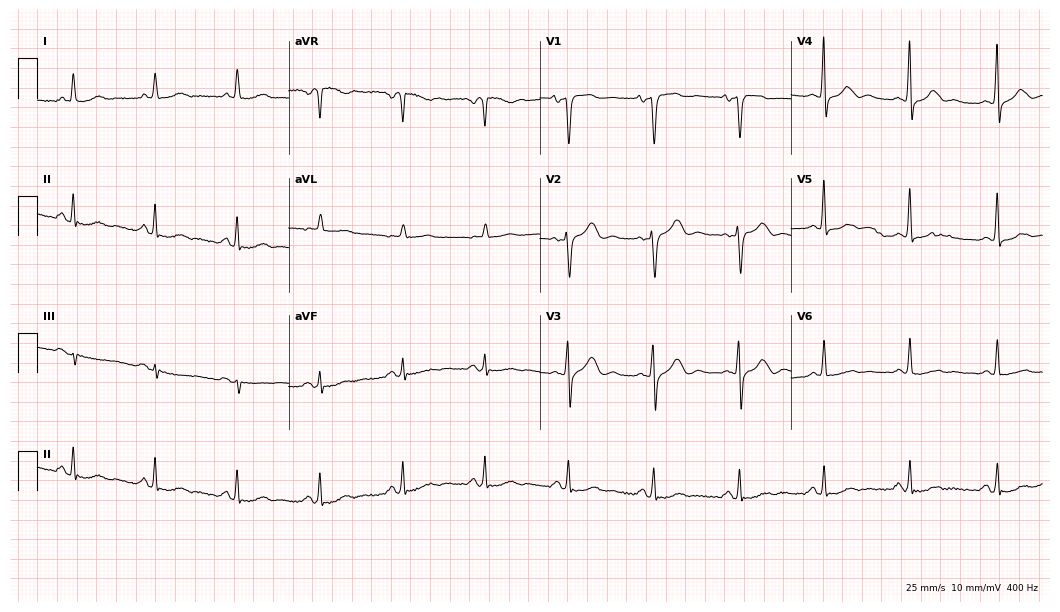
Electrocardiogram (10.2-second recording at 400 Hz), a woman, 62 years old. Overall reading on record: normal ECG.